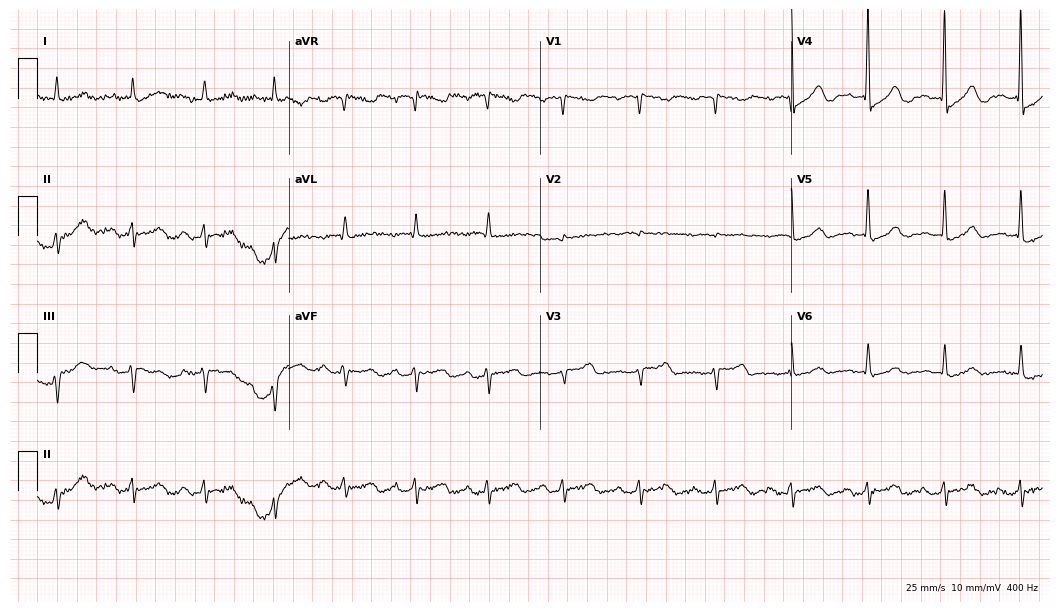
12-lead ECG from a 75-year-old female. Shows first-degree AV block.